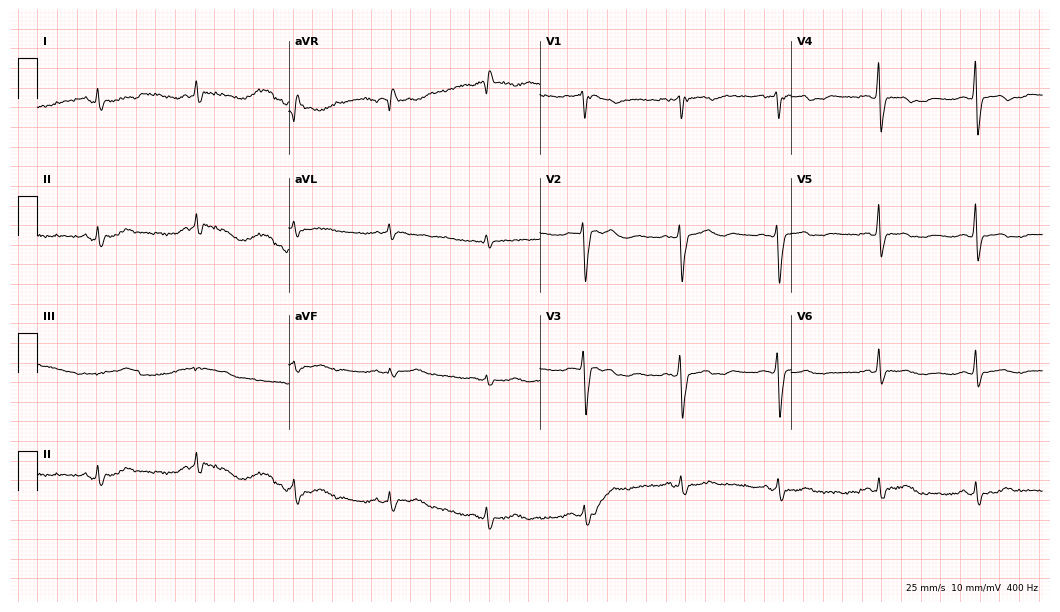
Resting 12-lead electrocardiogram (10.2-second recording at 400 Hz). Patient: a man, 56 years old. None of these six findings is recorded: first-degree AV block, right bundle branch block (RBBB), left bundle branch block (LBBB), sinus bradycardia, atrial fibrillation (AF), sinus tachycardia. Only these six findings were labelled.